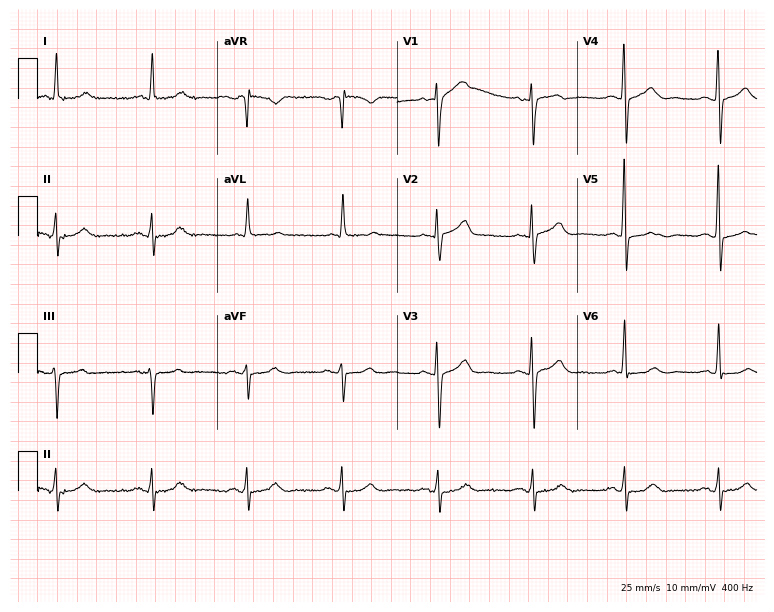
12-lead ECG (7.3-second recording at 400 Hz) from a 70-year-old male patient. Labelled as a normal ECG.